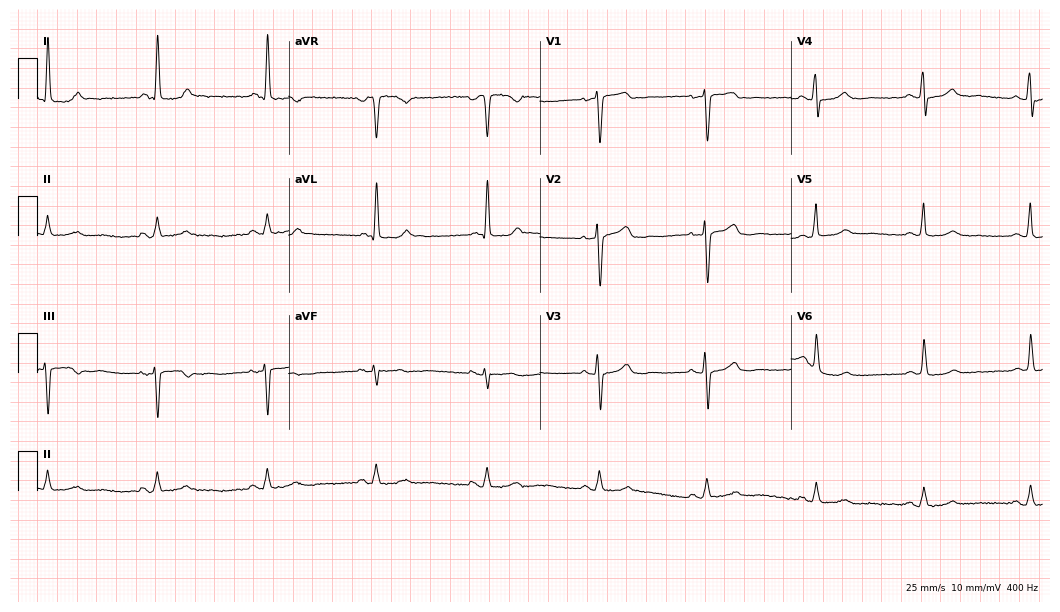
Resting 12-lead electrocardiogram (10.2-second recording at 400 Hz). Patient: a 67-year-old female. Read as a normal ECG.